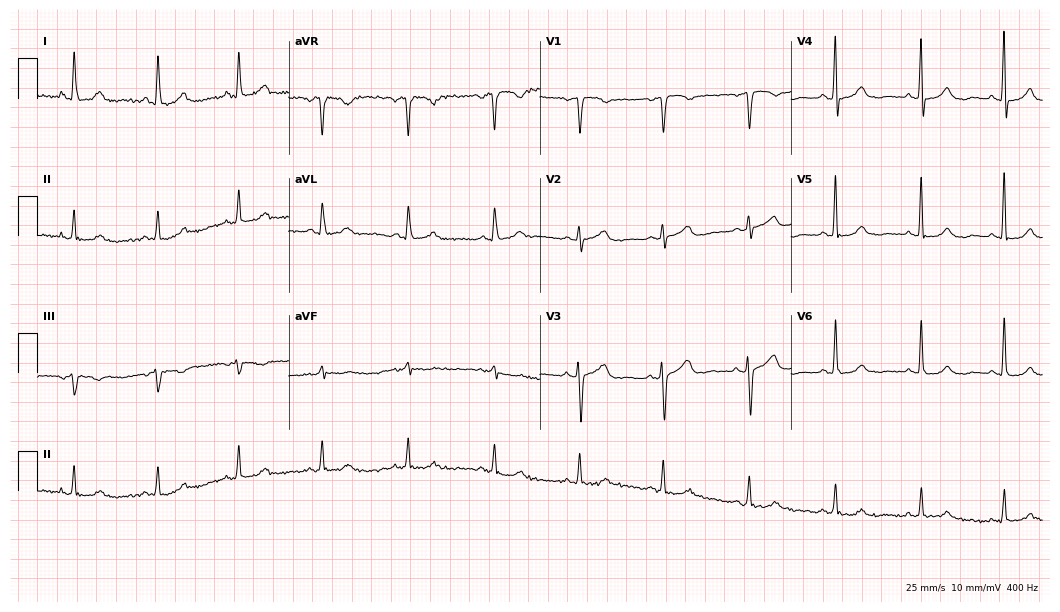
Standard 12-lead ECG recorded from a 69-year-old female (10.2-second recording at 400 Hz). Read as a normal ECG.